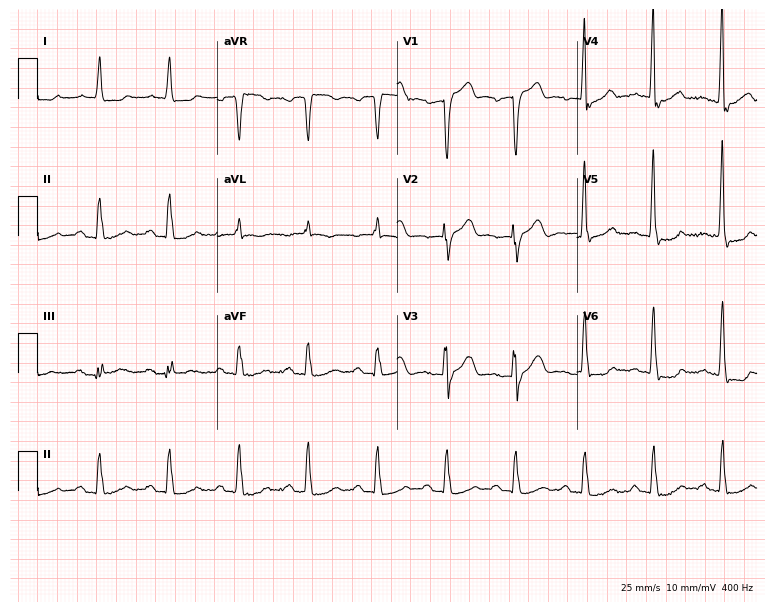
Electrocardiogram, an 85-year-old male patient. Of the six screened findings (first-degree AV block, right bundle branch block, left bundle branch block, sinus bradycardia, atrial fibrillation, sinus tachycardia), none is recorded. Findings outside these six are not listed.